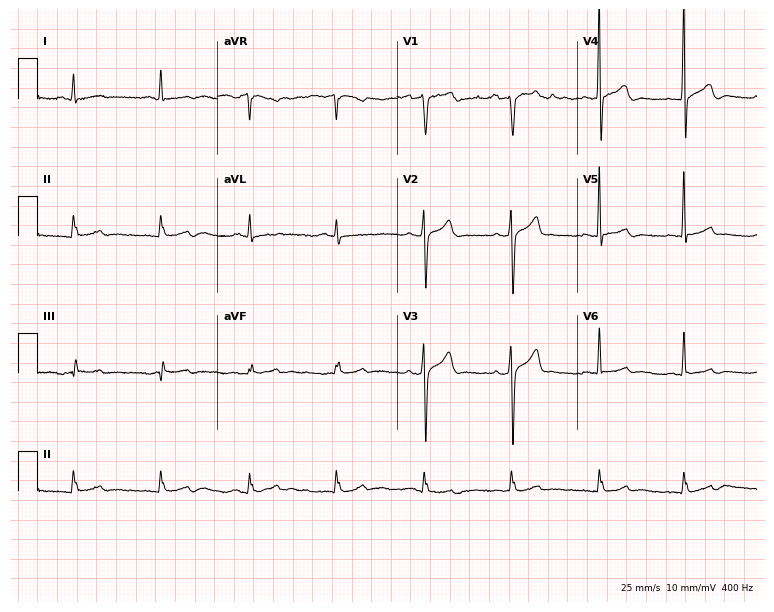
Standard 12-lead ECG recorded from a man, 68 years old (7.3-second recording at 400 Hz). None of these six findings is recorded: first-degree AV block, right bundle branch block, left bundle branch block, sinus bradycardia, atrial fibrillation, sinus tachycardia.